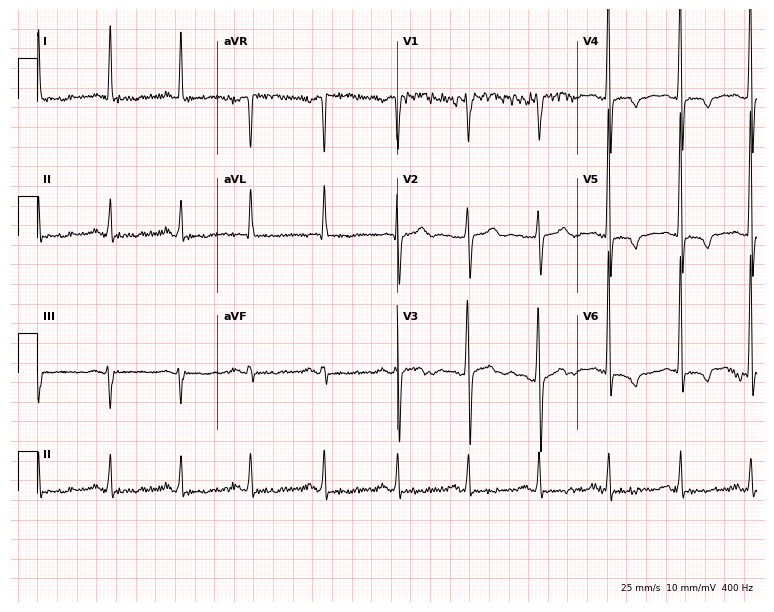
Electrocardiogram, a man, 36 years old. Of the six screened findings (first-degree AV block, right bundle branch block, left bundle branch block, sinus bradycardia, atrial fibrillation, sinus tachycardia), none is recorded.